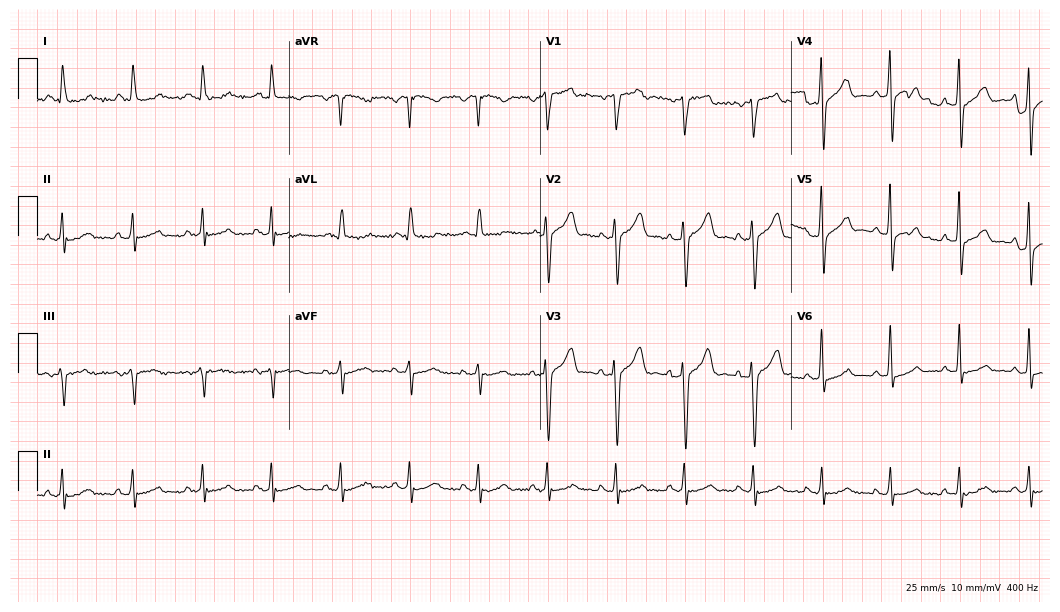
Resting 12-lead electrocardiogram (10.2-second recording at 400 Hz). Patient: a male, 57 years old. Read as a normal ECG.